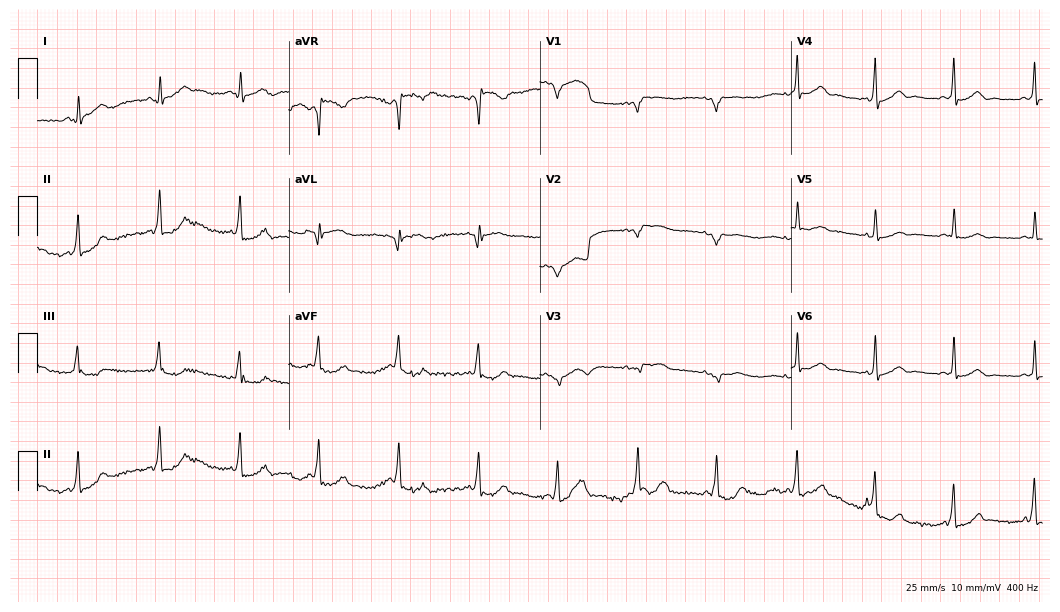
Standard 12-lead ECG recorded from a female, 33 years old (10.2-second recording at 400 Hz). Read as a normal ECG.